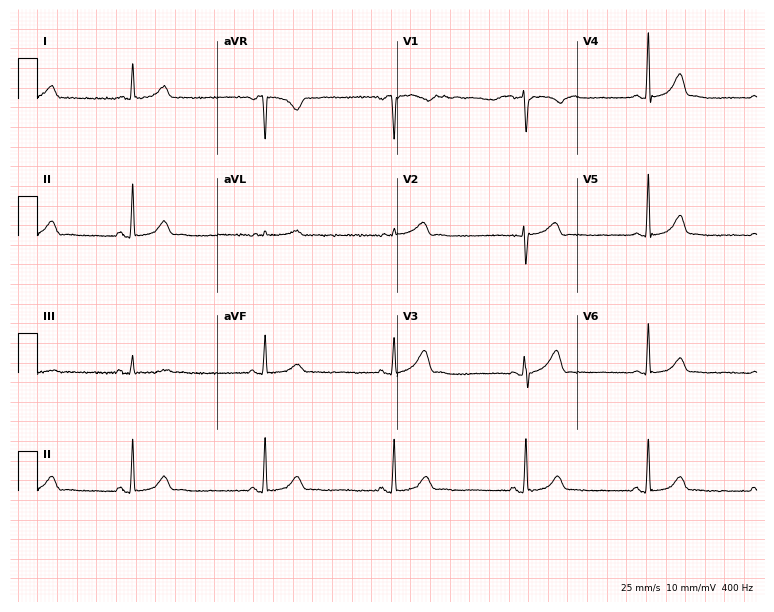
12-lead ECG from a female, 46 years old. Shows sinus bradycardia (a sinus rate of 50 beats per minute or less).